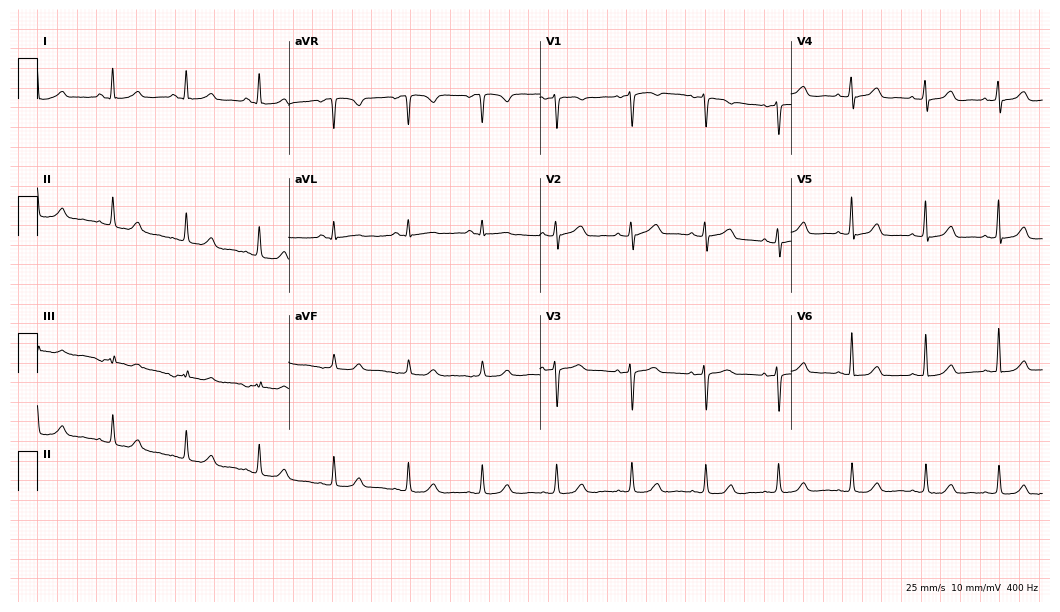
Standard 12-lead ECG recorded from a 39-year-old female patient (10.2-second recording at 400 Hz). Read as a normal ECG.